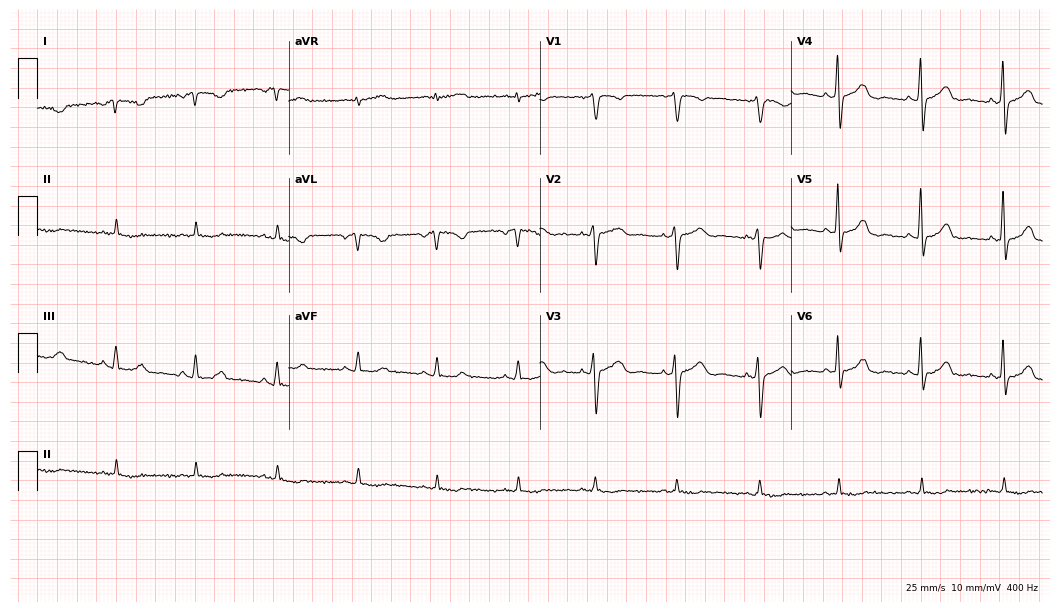
Standard 12-lead ECG recorded from a 47-year-old female patient. None of these six findings is recorded: first-degree AV block, right bundle branch block (RBBB), left bundle branch block (LBBB), sinus bradycardia, atrial fibrillation (AF), sinus tachycardia. Only these six findings were labelled.